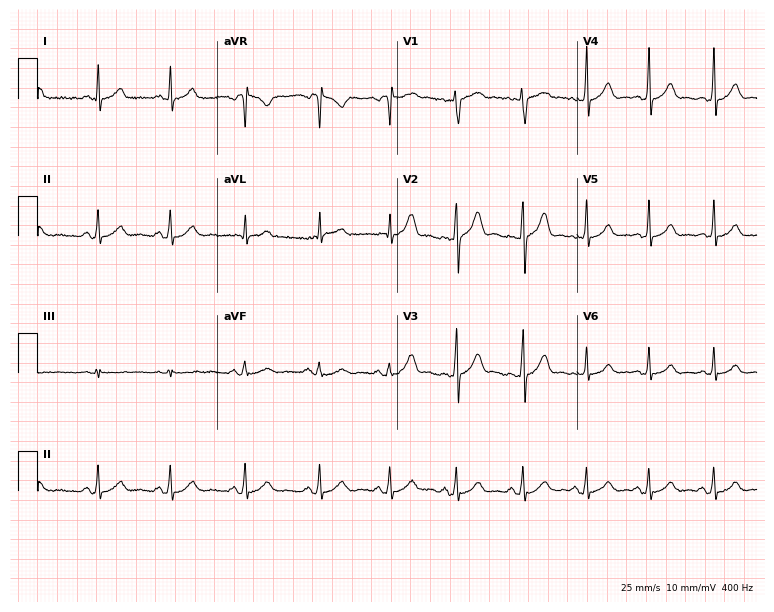
Electrocardiogram (7.3-second recording at 400 Hz), a 26-year-old woman. Overall reading on record: normal ECG.